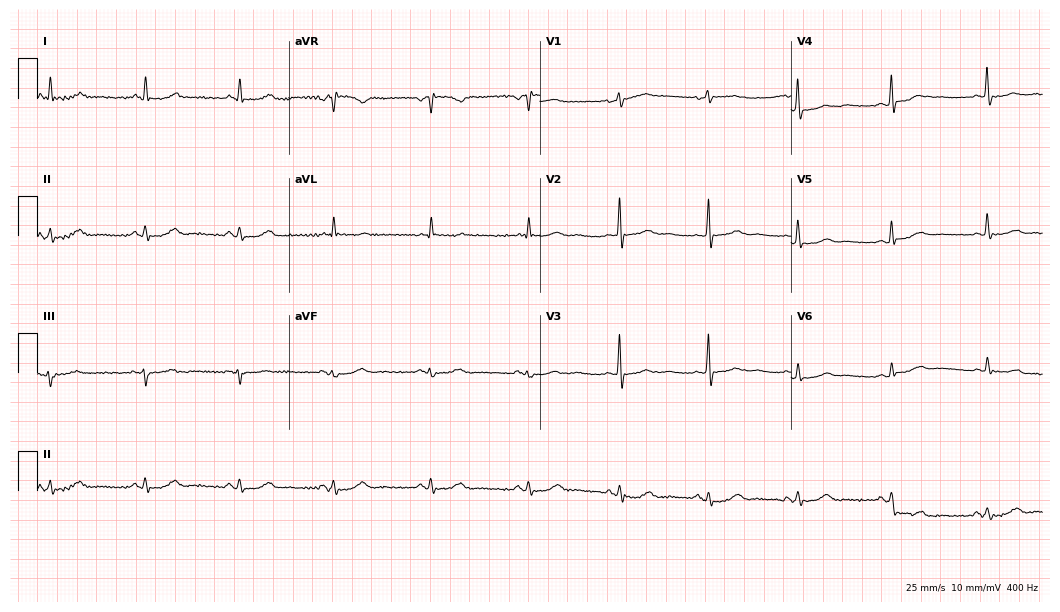
Resting 12-lead electrocardiogram. Patient: a female, 61 years old. Read as a normal ECG.